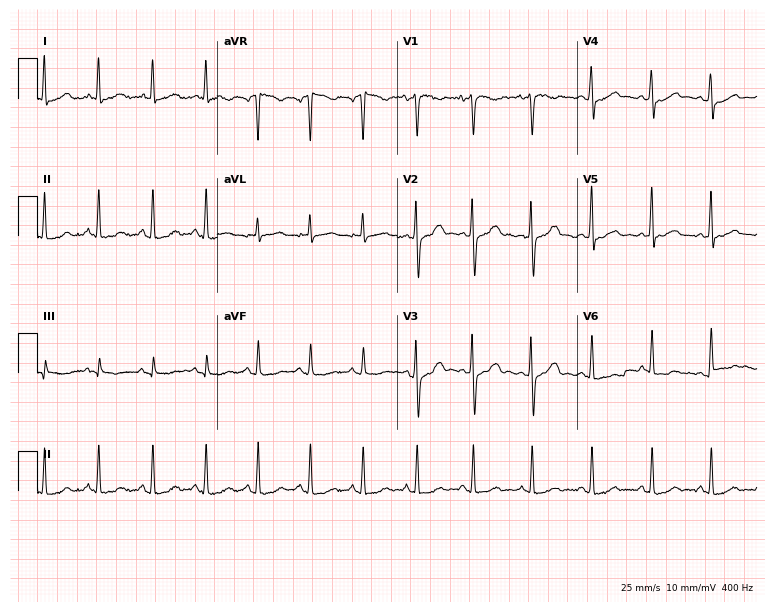
Standard 12-lead ECG recorded from a female, 37 years old (7.3-second recording at 400 Hz). The tracing shows sinus tachycardia (a sinus rate of 100 beats per minute or more).